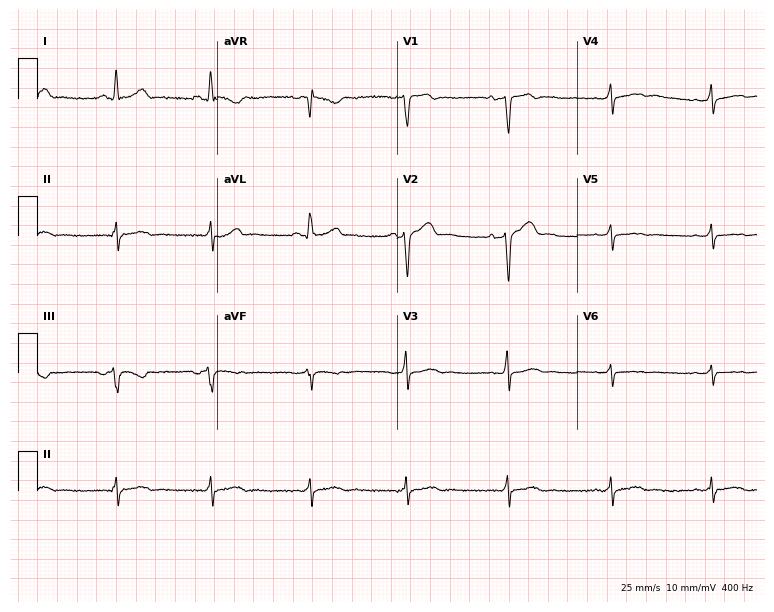
12-lead ECG from a 55-year-old woman. Screened for six findings — first-degree AV block, right bundle branch block, left bundle branch block, sinus bradycardia, atrial fibrillation, sinus tachycardia — none is recorded.